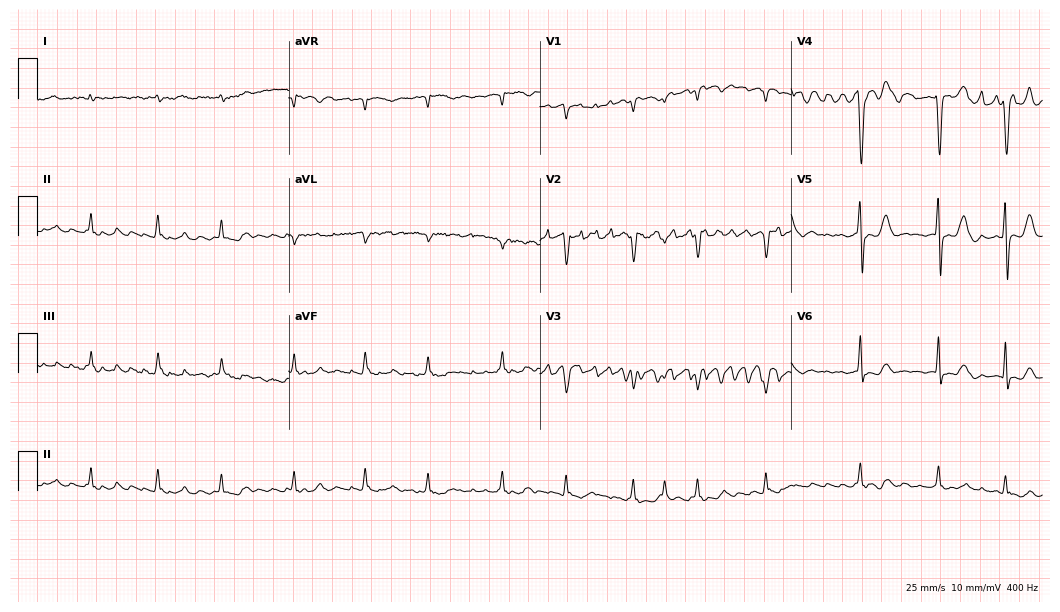
12-lead ECG from a female, 45 years old (10.2-second recording at 400 Hz). Shows atrial fibrillation.